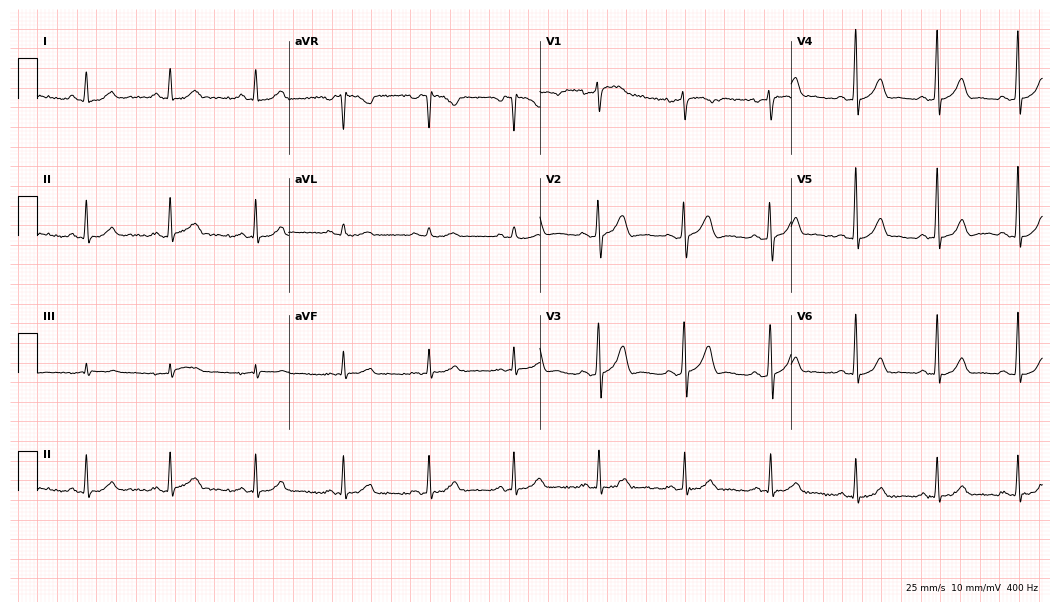
12-lead ECG from a male, 41 years old (10.2-second recording at 400 Hz). Recorded interpretation: within normal limits.